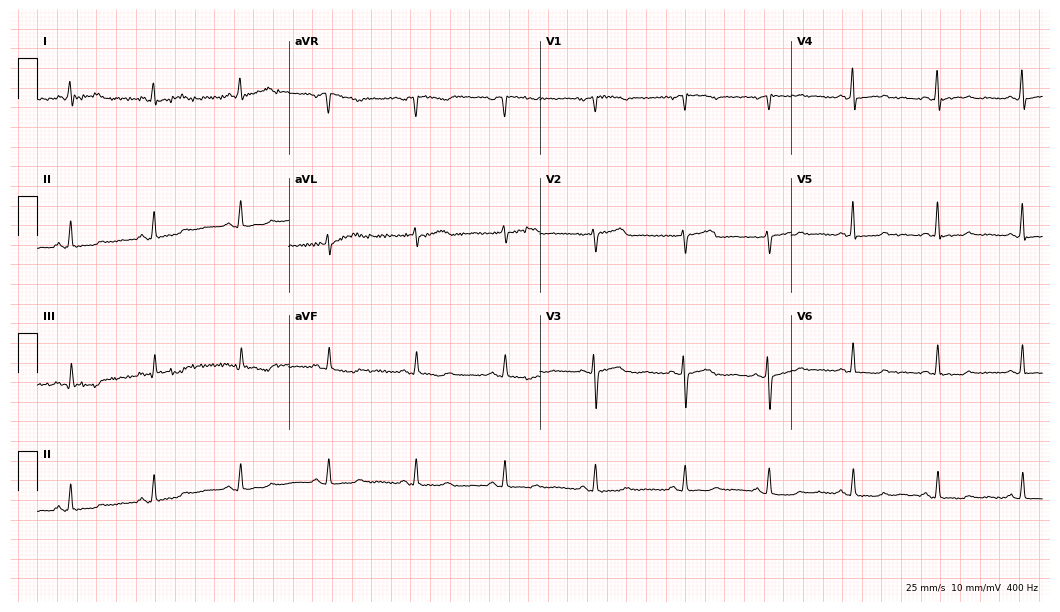
Electrocardiogram, a 59-year-old female. Of the six screened findings (first-degree AV block, right bundle branch block, left bundle branch block, sinus bradycardia, atrial fibrillation, sinus tachycardia), none is recorded.